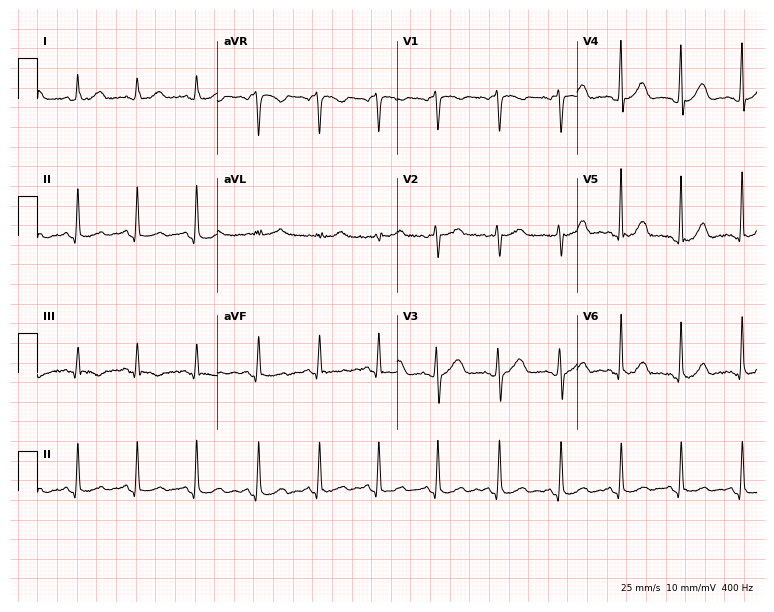
Electrocardiogram, a 36-year-old female patient. Overall reading on record: normal ECG.